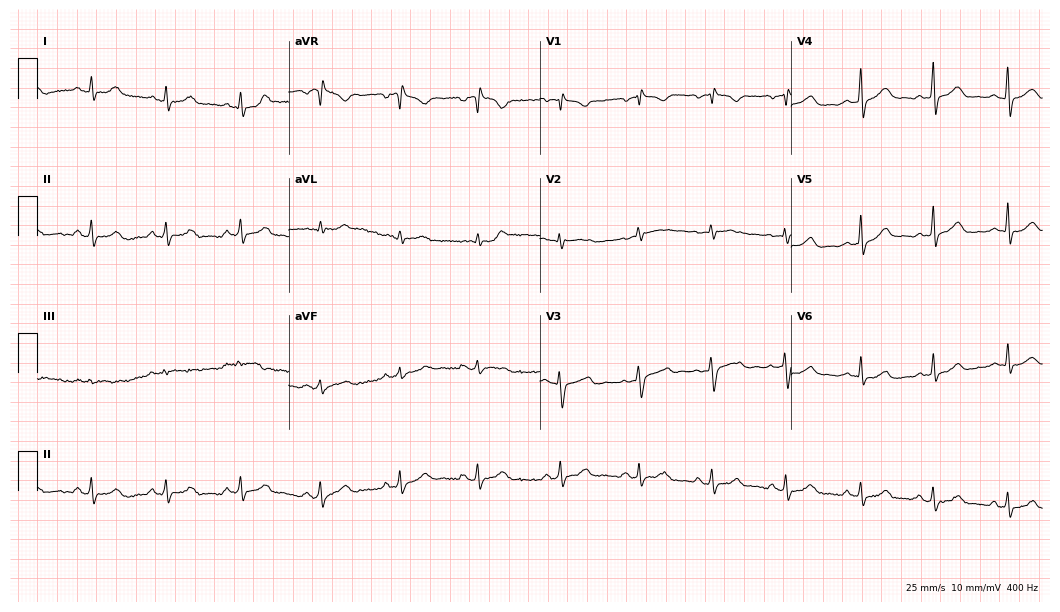
Standard 12-lead ECG recorded from a female patient, 17 years old. None of these six findings is recorded: first-degree AV block, right bundle branch block (RBBB), left bundle branch block (LBBB), sinus bradycardia, atrial fibrillation (AF), sinus tachycardia.